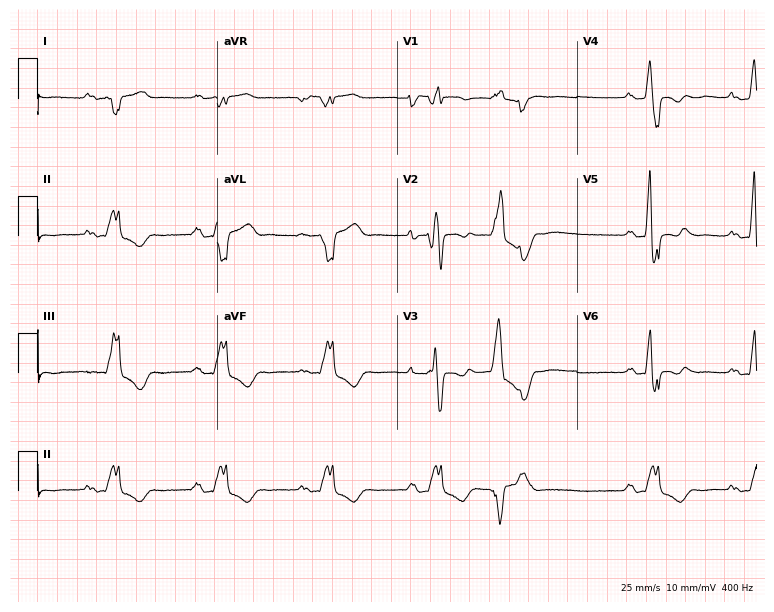
12-lead ECG from a male, 53 years old. Shows first-degree AV block, right bundle branch block.